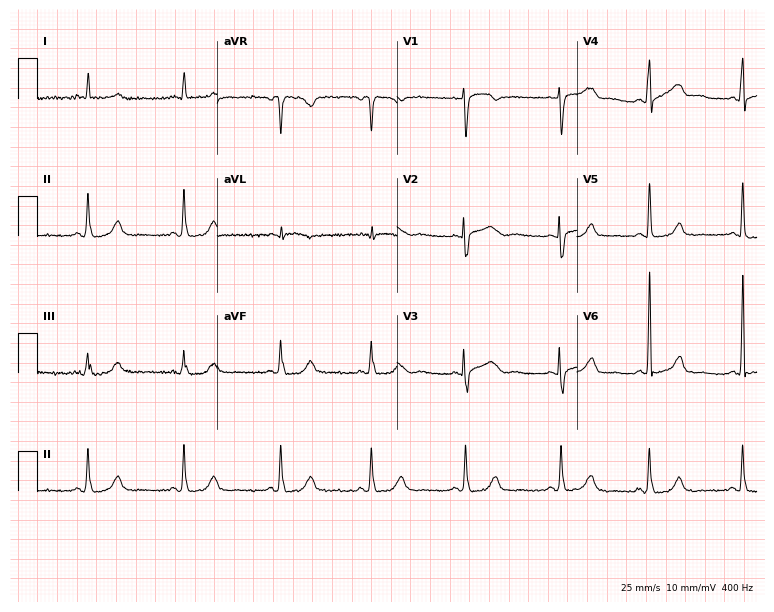
Resting 12-lead electrocardiogram (7.3-second recording at 400 Hz). Patient: a 62-year-old female. Read as a normal ECG.